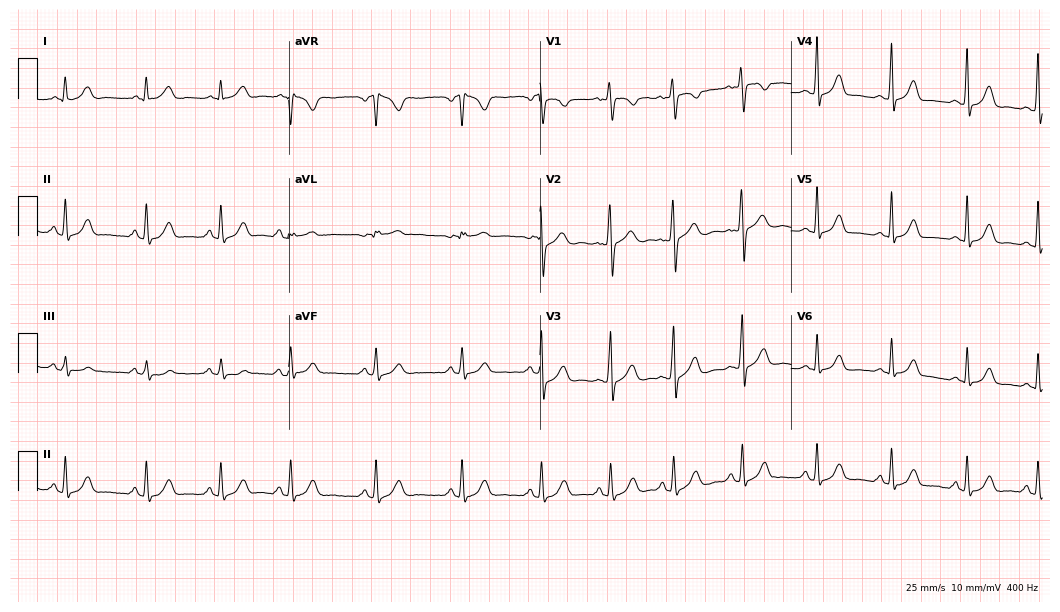
Standard 12-lead ECG recorded from a female, 20 years old. Read as a normal ECG.